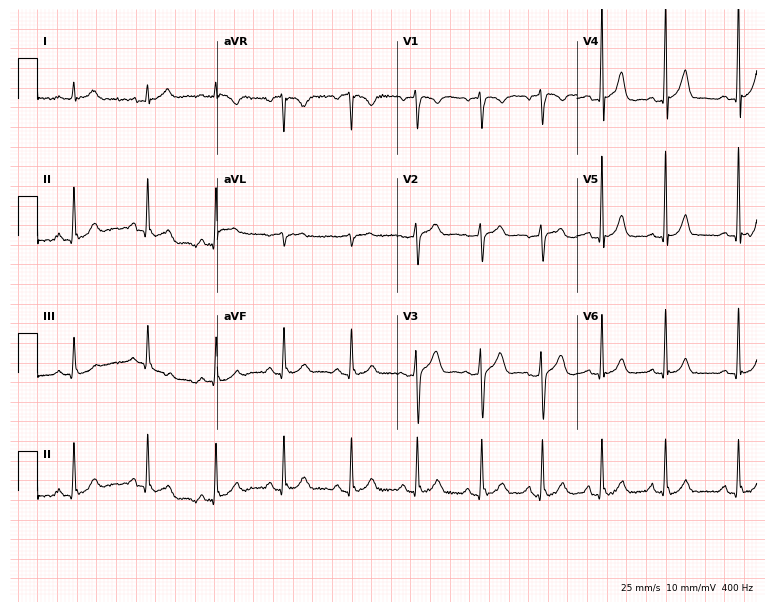
Resting 12-lead electrocardiogram (7.3-second recording at 400 Hz). Patient: a 21-year-old male. None of these six findings is recorded: first-degree AV block, right bundle branch block, left bundle branch block, sinus bradycardia, atrial fibrillation, sinus tachycardia. Other findings, if any, are not listed.